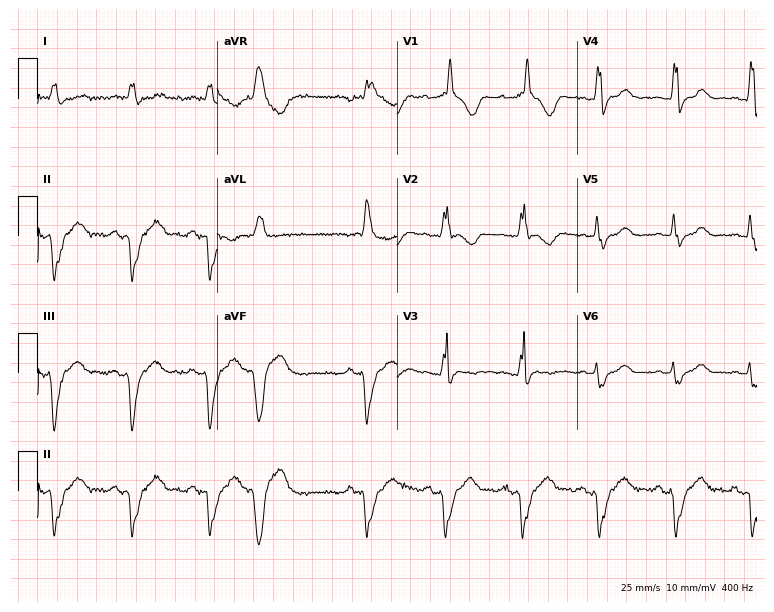
Resting 12-lead electrocardiogram. Patient: a male, 43 years old. The tracing shows left bundle branch block.